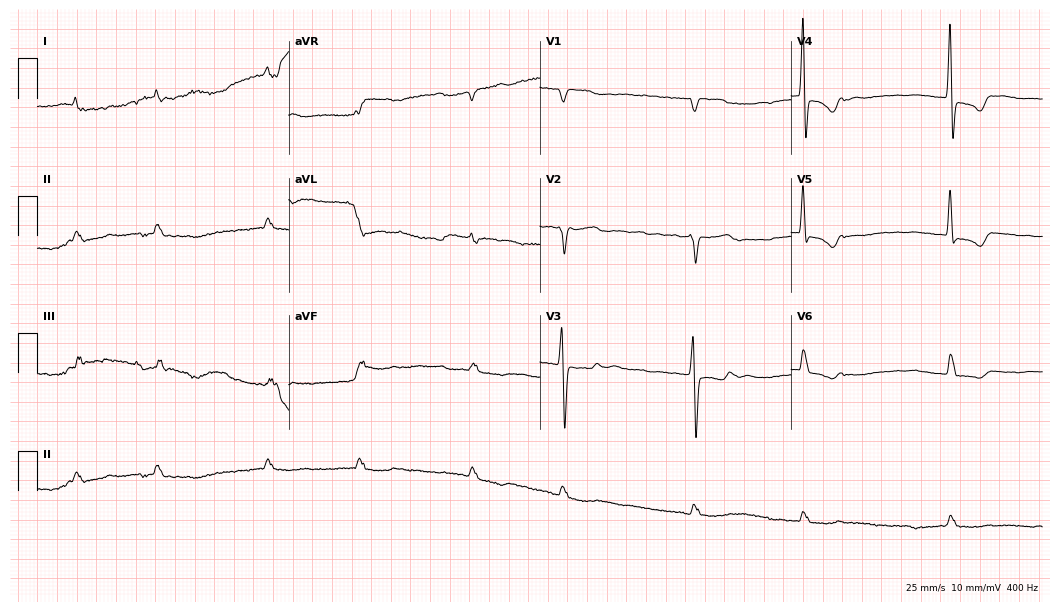
Electrocardiogram, a 76-year-old male. Of the six screened findings (first-degree AV block, right bundle branch block, left bundle branch block, sinus bradycardia, atrial fibrillation, sinus tachycardia), none is recorded.